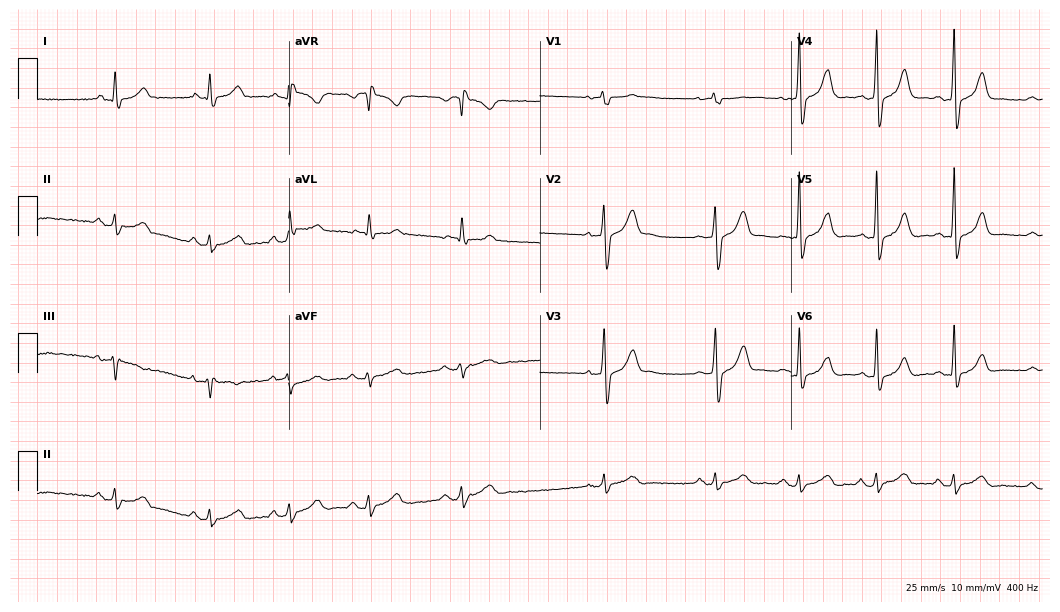
12-lead ECG from a male patient, 35 years old. Screened for six findings — first-degree AV block, right bundle branch block (RBBB), left bundle branch block (LBBB), sinus bradycardia, atrial fibrillation (AF), sinus tachycardia — none is recorded. Other findings, if any, are not listed.